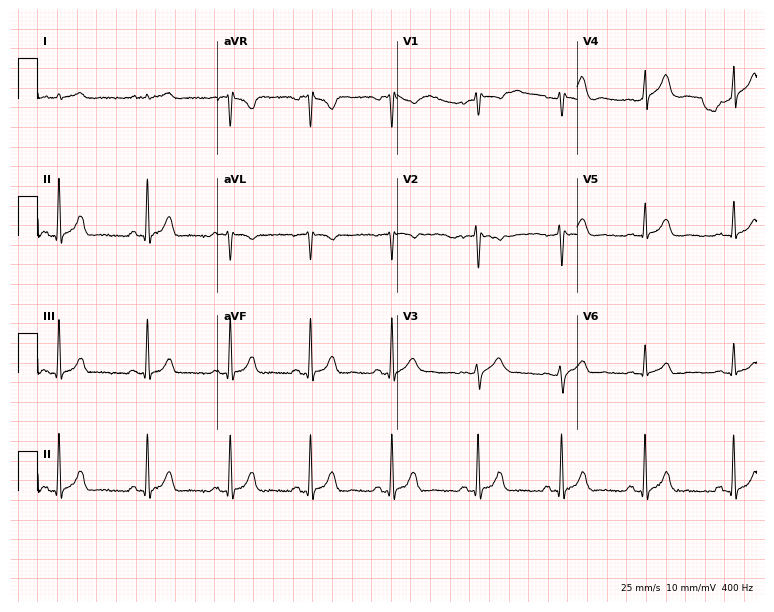
Electrocardiogram, a 32-year-old male patient. Of the six screened findings (first-degree AV block, right bundle branch block (RBBB), left bundle branch block (LBBB), sinus bradycardia, atrial fibrillation (AF), sinus tachycardia), none is recorded. Other findings, if any, are not listed.